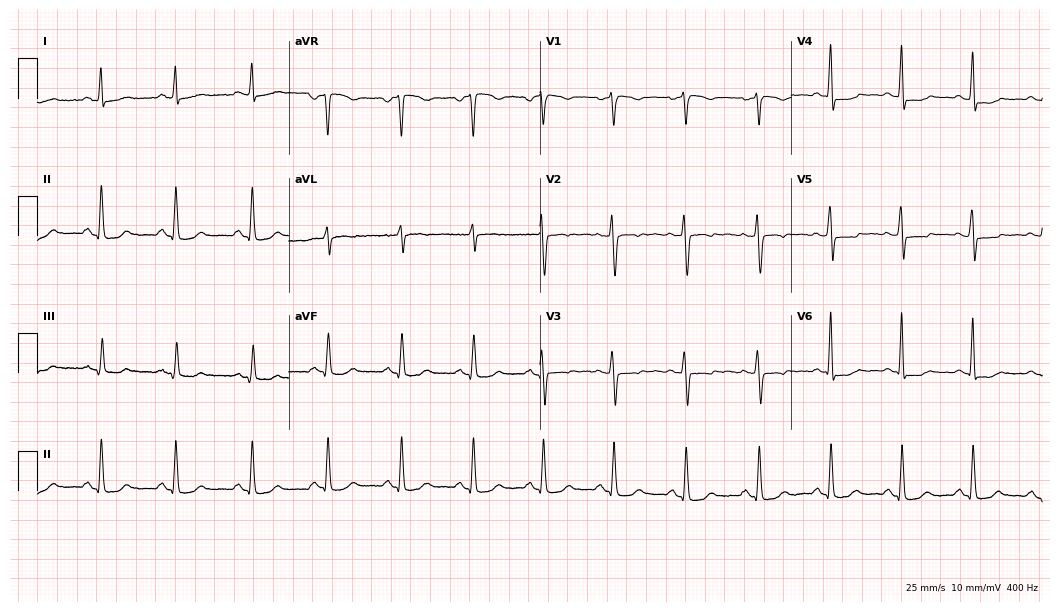
Electrocardiogram, a female, 60 years old. Of the six screened findings (first-degree AV block, right bundle branch block (RBBB), left bundle branch block (LBBB), sinus bradycardia, atrial fibrillation (AF), sinus tachycardia), none is recorded. Findings outside these six are not listed.